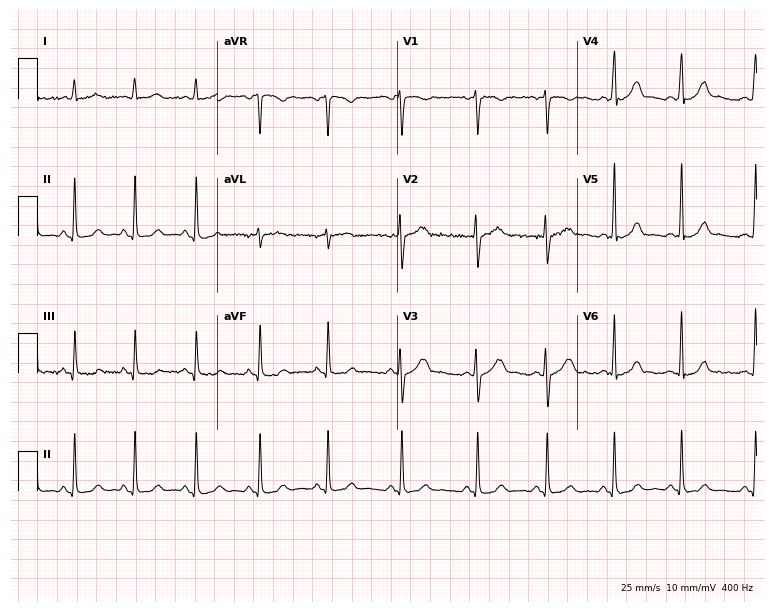
Resting 12-lead electrocardiogram. Patient: a female, 17 years old. Read as a normal ECG.